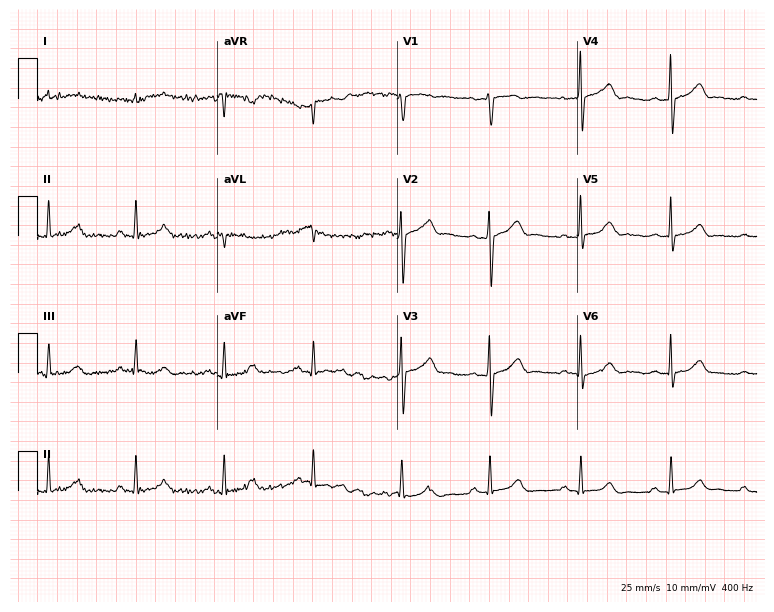
Electrocardiogram (7.3-second recording at 400 Hz), a male, 68 years old. Overall reading on record: normal ECG.